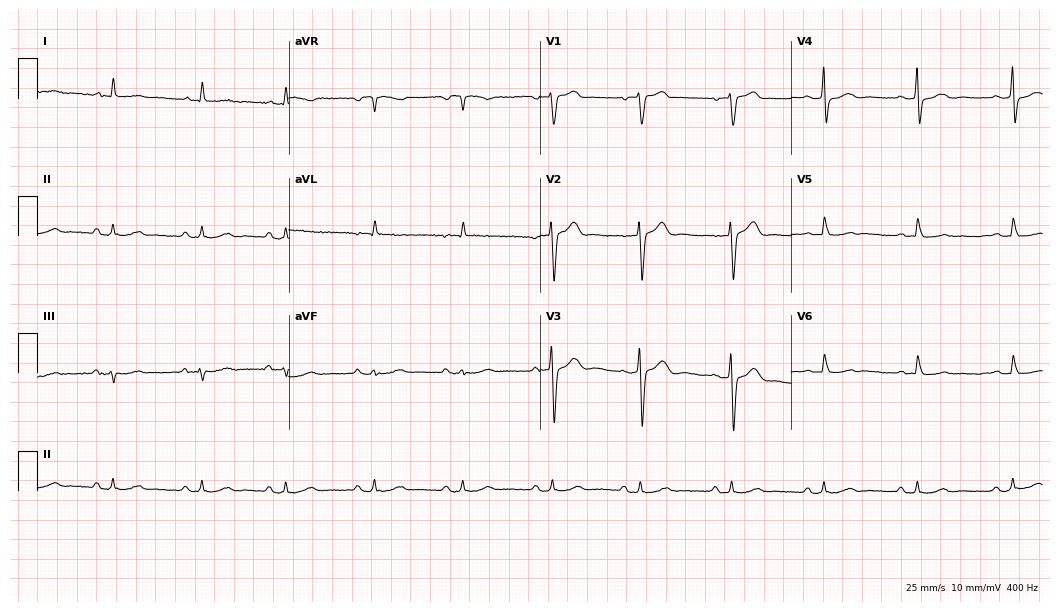
ECG (10.2-second recording at 400 Hz) — a 78-year-old male. Screened for six findings — first-degree AV block, right bundle branch block (RBBB), left bundle branch block (LBBB), sinus bradycardia, atrial fibrillation (AF), sinus tachycardia — none is recorded. Findings outside these six are not listed.